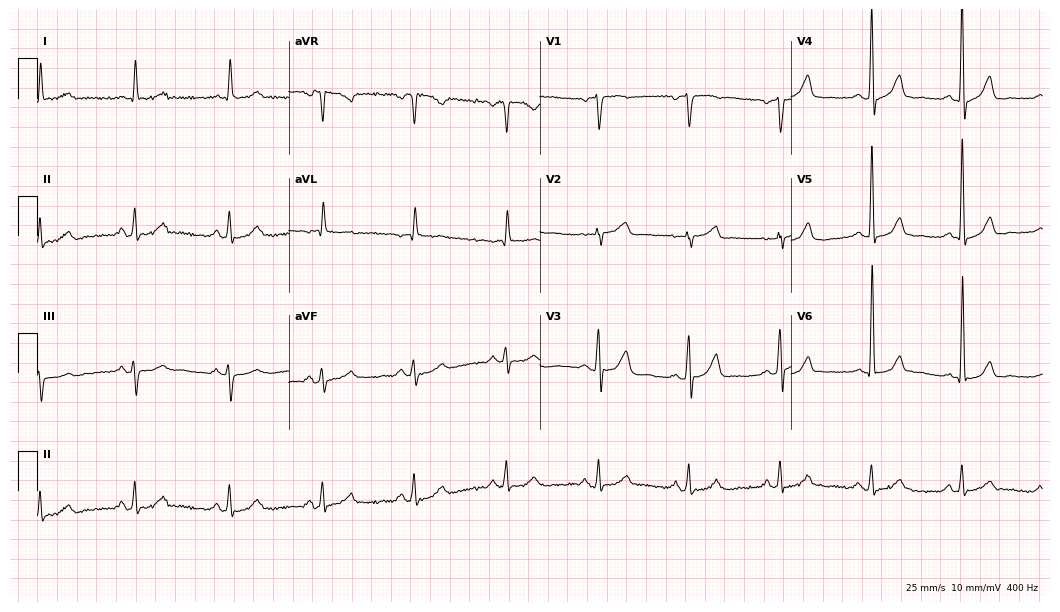
12-lead ECG from a 76-year-old woman (10.2-second recording at 400 Hz). No first-degree AV block, right bundle branch block, left bundle branch block, sinus bradycardia, atrial fibrillation or sinus tachycardia recorded for this tracing. Other findings, if any, are not listed.